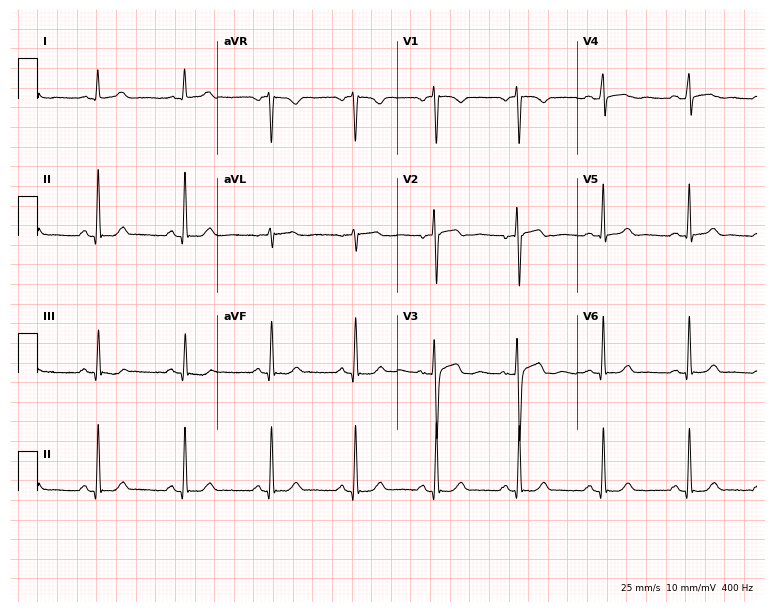
ECG (7.3-second recording at 400 Hz) — a female, 36 years old. Screened for six findings — first-degree AV block, right bundle branch block (RBBB), left bundle branch block (LBBB), sinus bradycardia, atrial fibrillation (AF), sinus tachycardia — none is recorded.